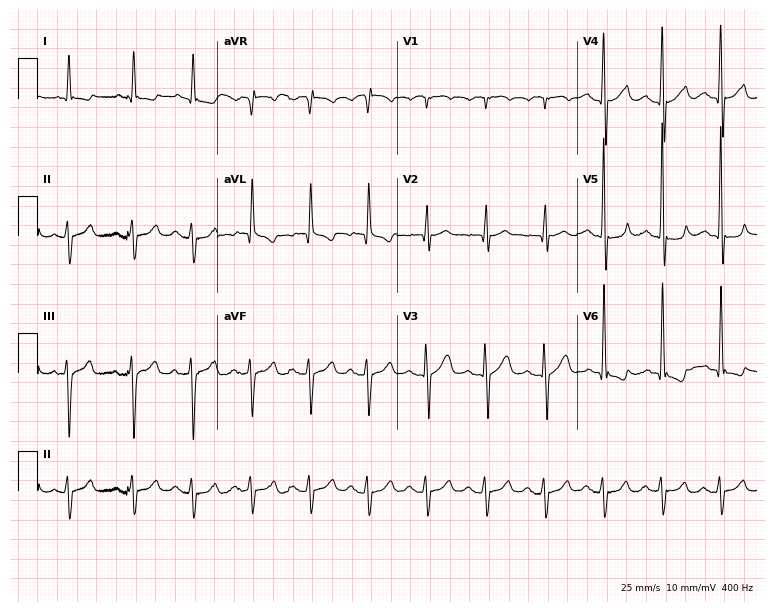
Resting 12-lead electrocardiogram. Patient: a male, 85 years old. None of these six findings is recorded: first-degree AV block, right bundle branch block (RBBB), left bundle branch block (LBBB), sinus bradycardia, atrial fibrillation (AF), sinus tachycardia. Other findings, if any, are not listed.